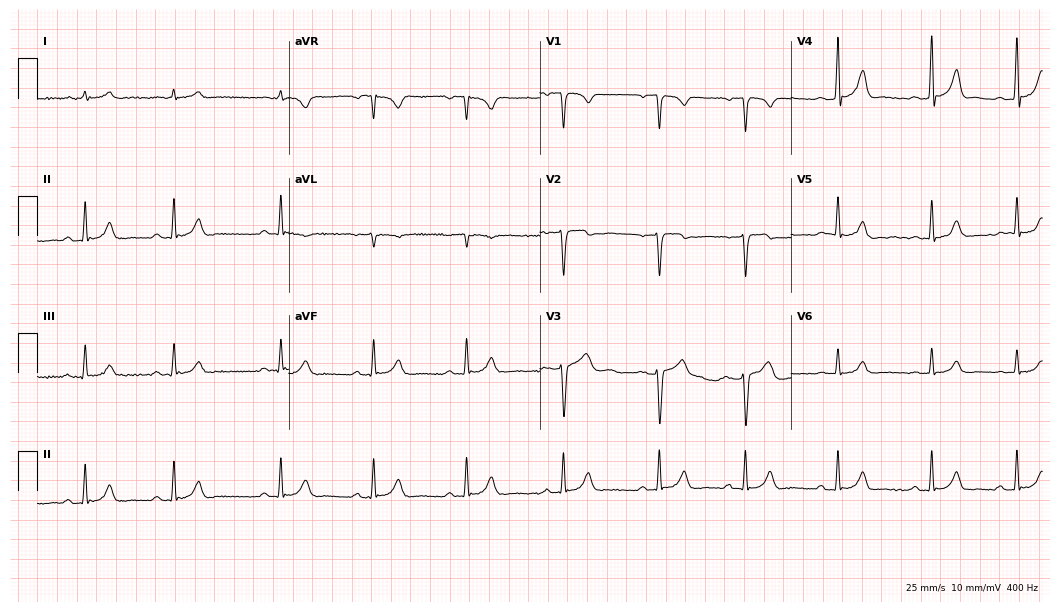
Resting 12-lead electrocardiogram. Patient: a 24-year-old male. None of these six findings is recorded: first-degree AV block, right bundle branch block, left bundle branch block, sinus bradycardia, atrial fibrillation, sinus tachycardia.